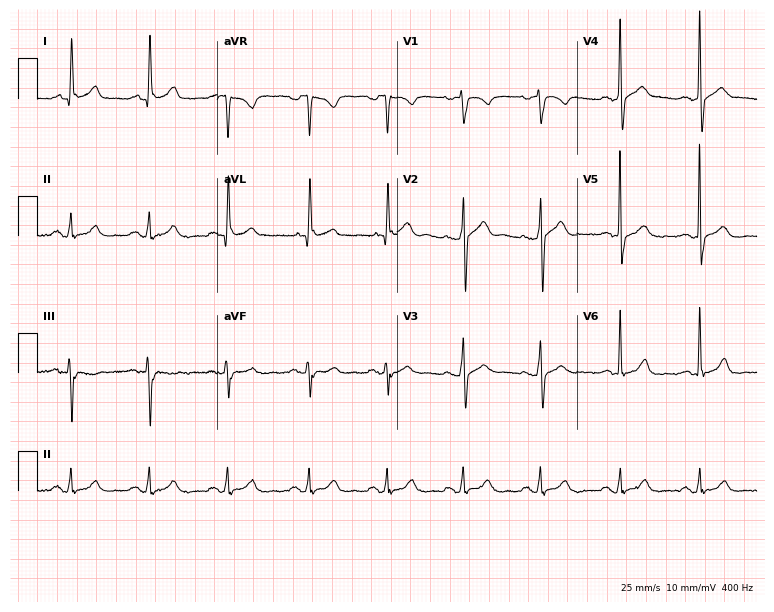
12-lead ECG from a man, 44 years old (7.3-second recording at 400 Hz). Recorded interpretation: within normal limits.